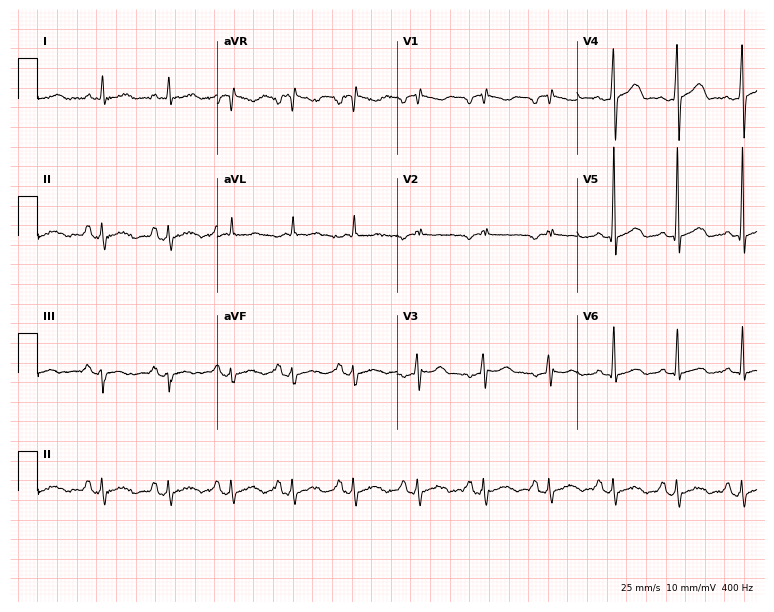
ECG — a 36-year-old male patient. Labelled as a normal ECG.